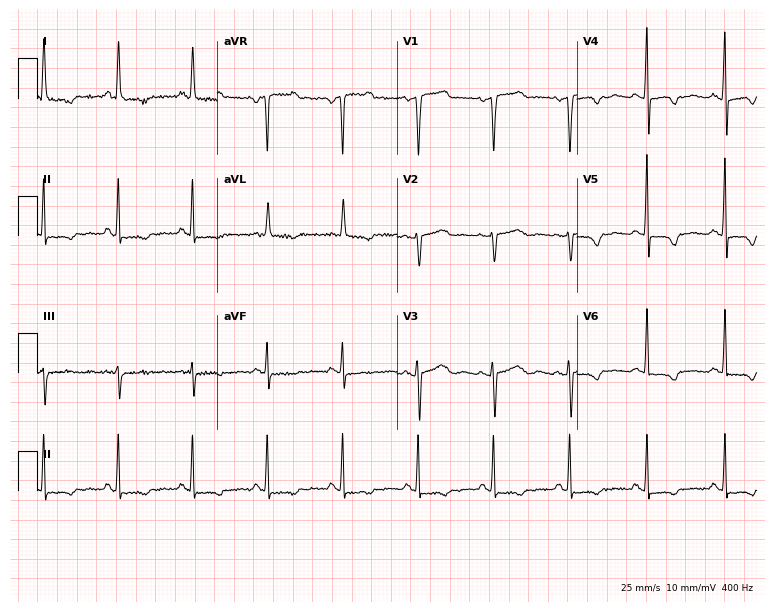
Resting 12-lead electrocardiogram. Patient: a 50-year-old woman. None of these six findings is recorded: first-degree AV block, right bundle branch block, left bundle branch block, sinus bradycardia, atrial fibrillation, sinus tachycardia.